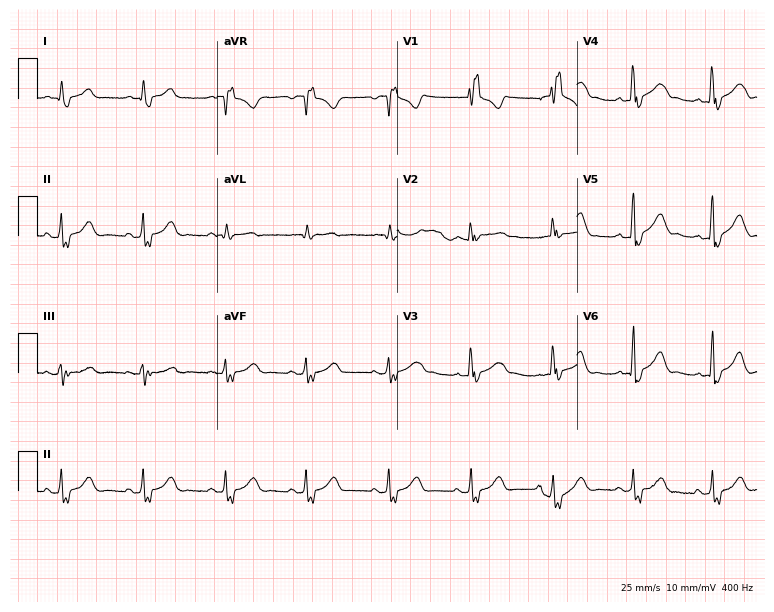
Electrocardiogram, a 69-year-old male patient. Interpretation includes right bundle branch block (RBBB).